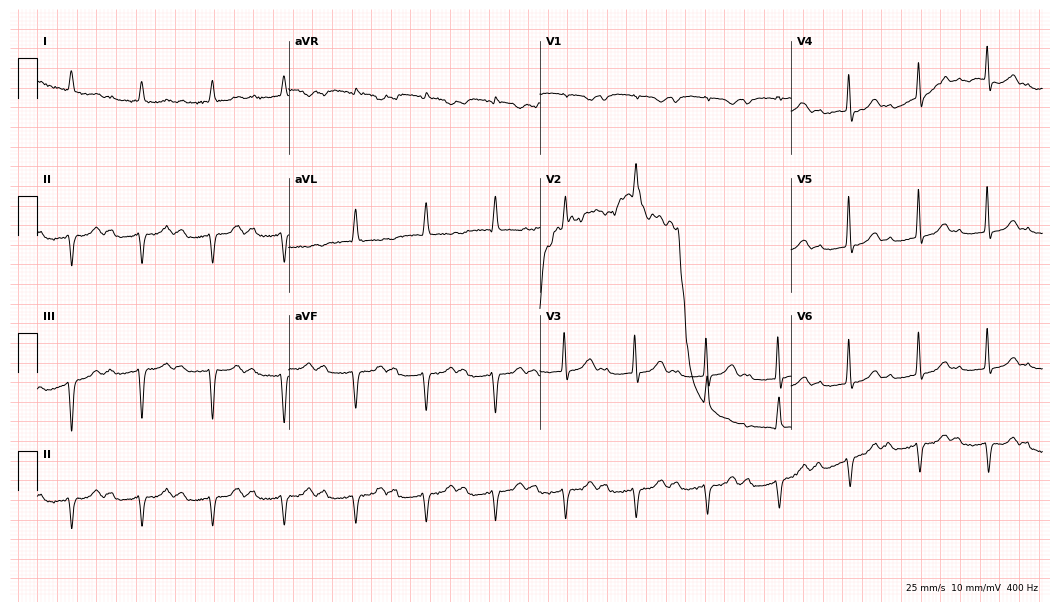
Electrocardiogram (10.2-second recording at 400 Hz), an 81-year-old male. Of the six screened findings (first-degree AV block, right bundle branch block, left bundle branch block, sinus bradycardia, atrial fibrillation, sinus tachycardia), none is recorded. Findings outside these six are not listed.